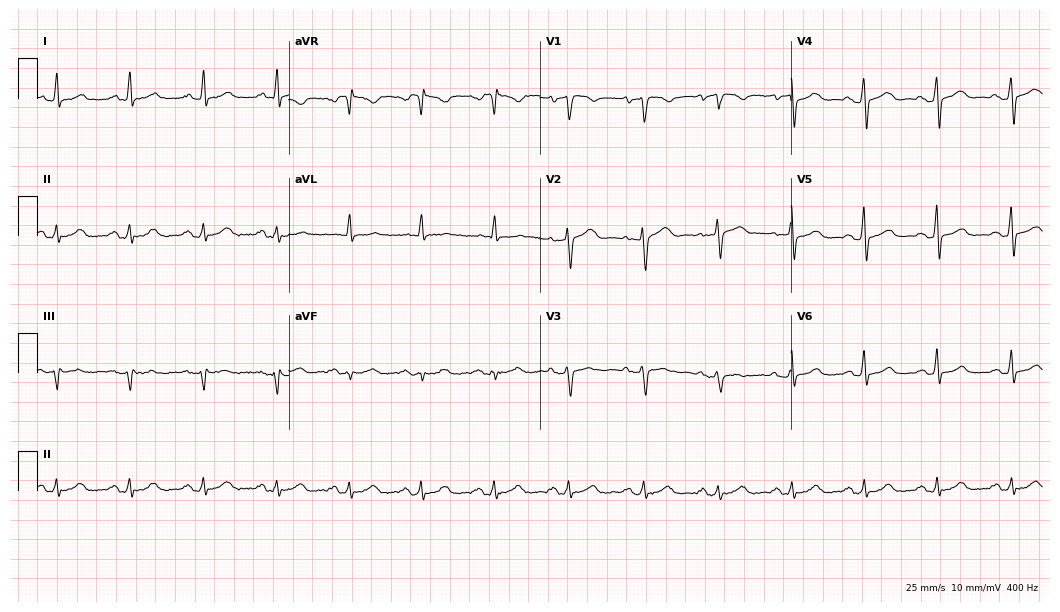
Electrocardiogram, a male patient, 40 years old. Overall reading on record: normal ECG.